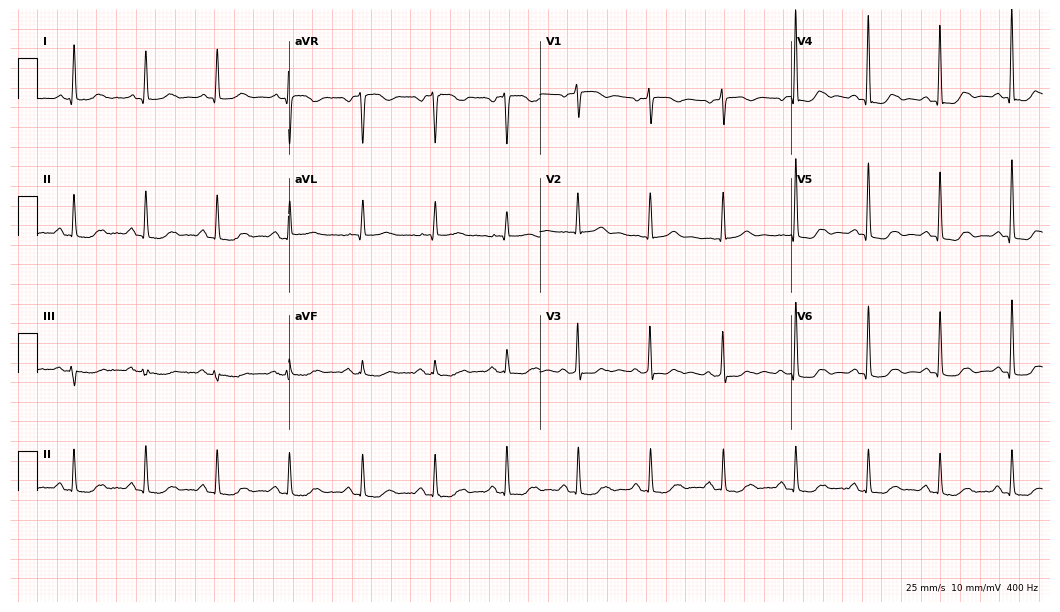
12-lead ECG from a 78-year-old woman. Screened for six findings — first-degree AV block, right bundle branch block, left bundle branch block, sinus bradycardia, atrial fibrillation, sinus tachycardia — none is recorded. Other findings, if any, are not listed.